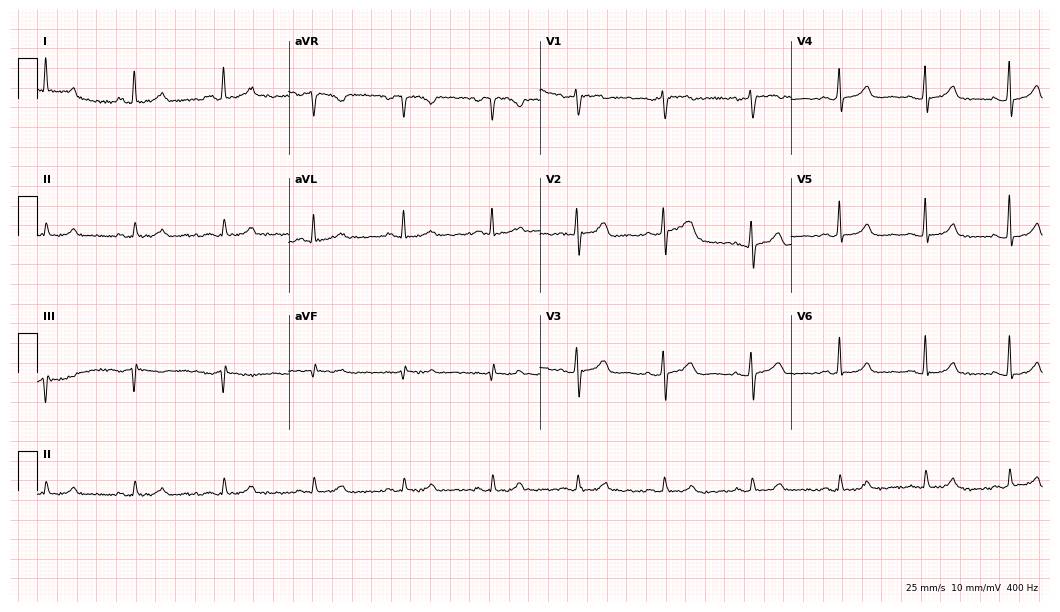
ECG — a 49-year-old female patient. Labelled as a normal ECG.